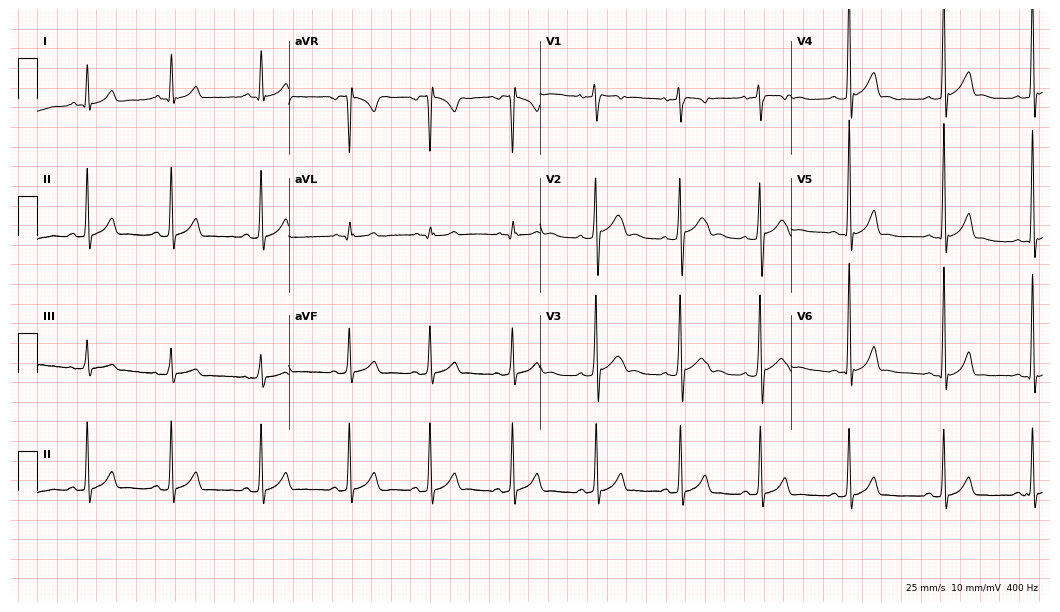
Electrocardiogram, a 17-year-old man. Of the six screened findings (first-degree AV block, right bundle branch block, left bundle branch block, sinus bradycardia, atrial fibrillation, sinus tachycardia), none is recorded. Findings outside these six are not listed.